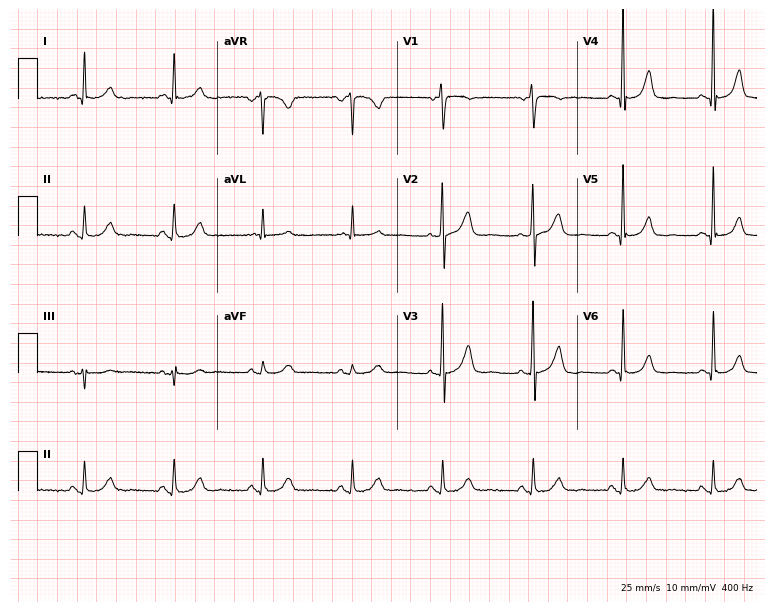
12-lead ECG (7.3-second recording at 400 Hz) from a 74-year-old male patient. Screened for six findings — first-degree AV block, right bundle branch block, left bundle branch block, sinus bradycardia, atrial fibrillation, sinus tachycardia — none is recorded.